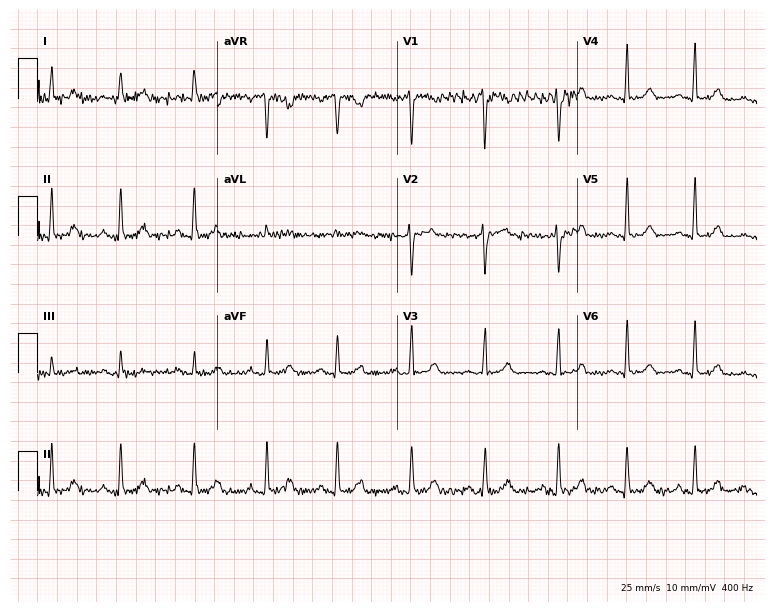
Standard 12-lead ECG recorded from a 31-year-old female. Read as a normal ECG.